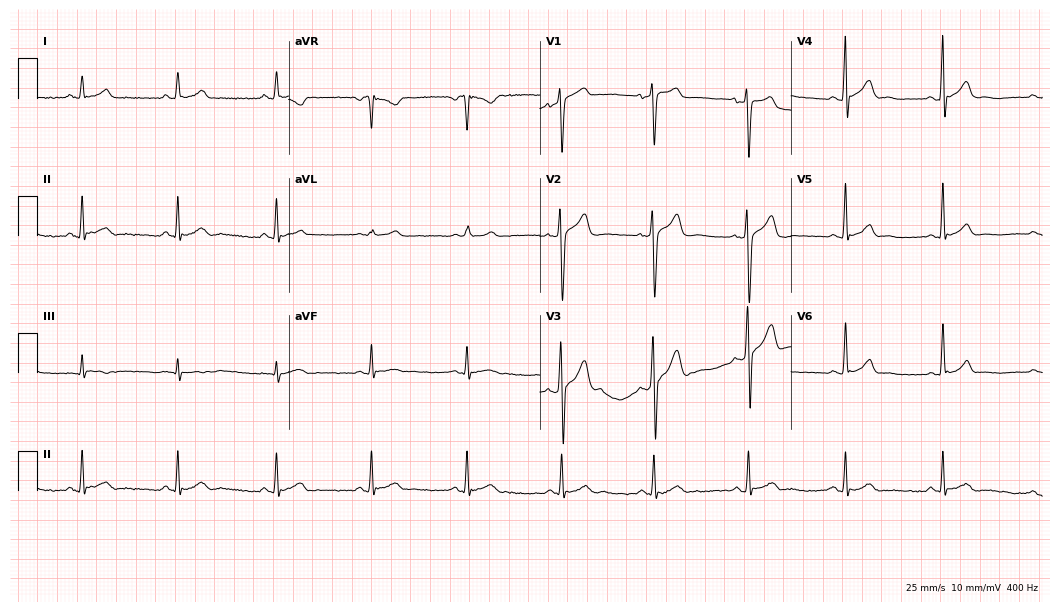
Resting 12-lead electrocardiogram. Patient: a 48-year-old man. Read as a normal ECG.